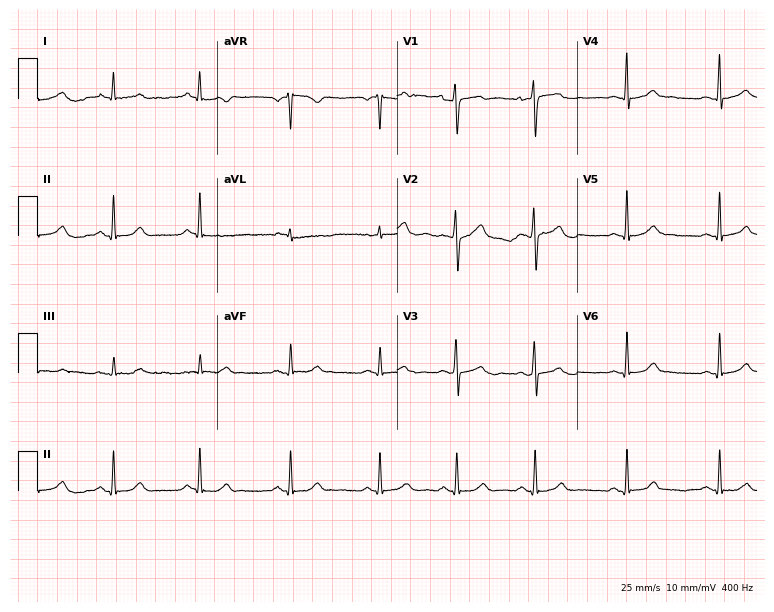
12-lead ECG (7.3-second recording at 400 Hz) from a woman, 26 years old. Screened for six findings — first-degree AV block, right bundle branch block (RBBB), left bundle branch block (LBBB), sinus bradycardia, atrial fibrillation (AF), sinus tachycardia — none is recorded. Findings outside these six are not listed.